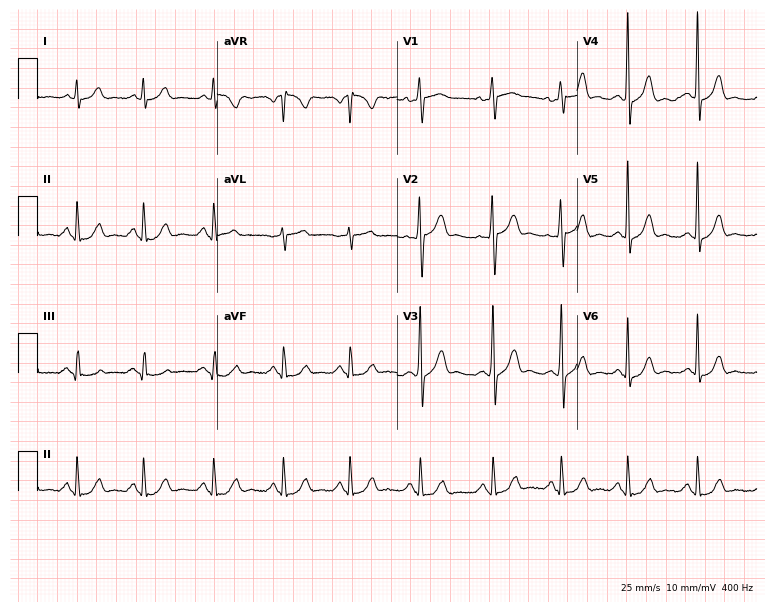
ECG — a 54-year-old male patient. Labelled as a normal ECG.